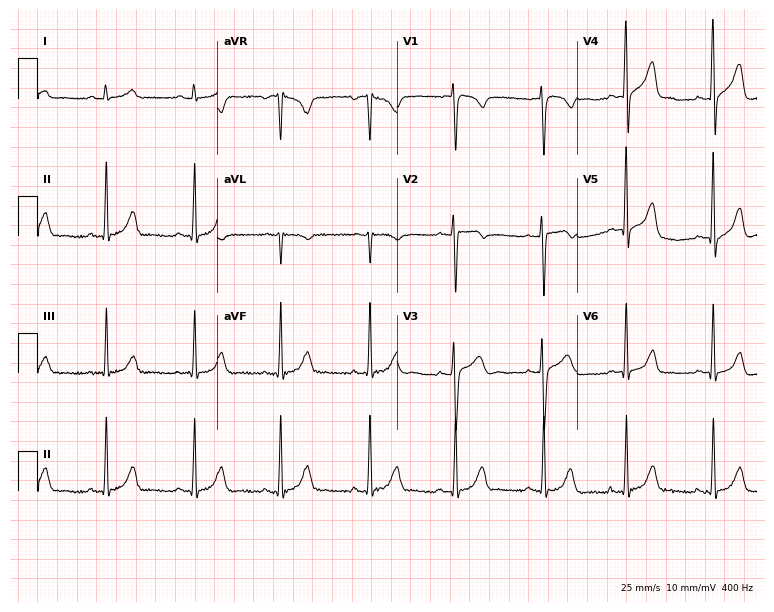
Standard 12-lead ECG recorded from a 33-year-old male. Read as a normal ECG.